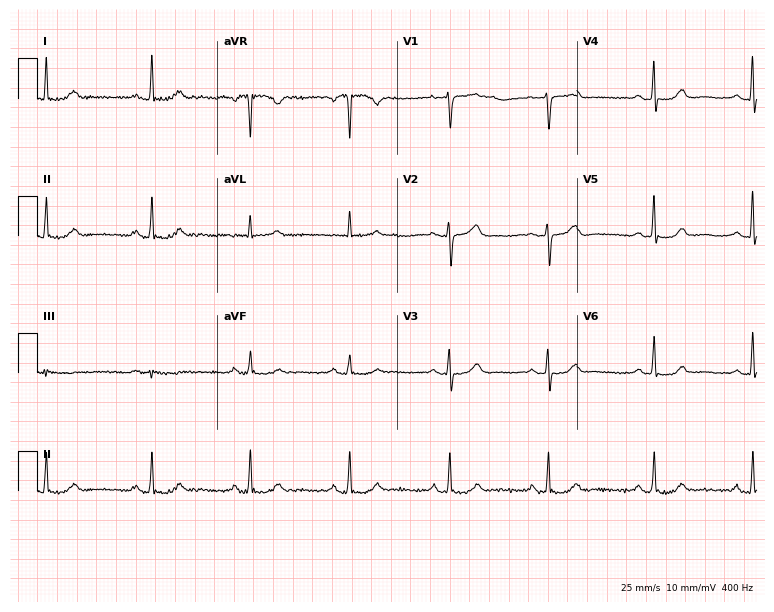
12-lead ECG from a 62-year-old female. Labelled as a normal ECG.